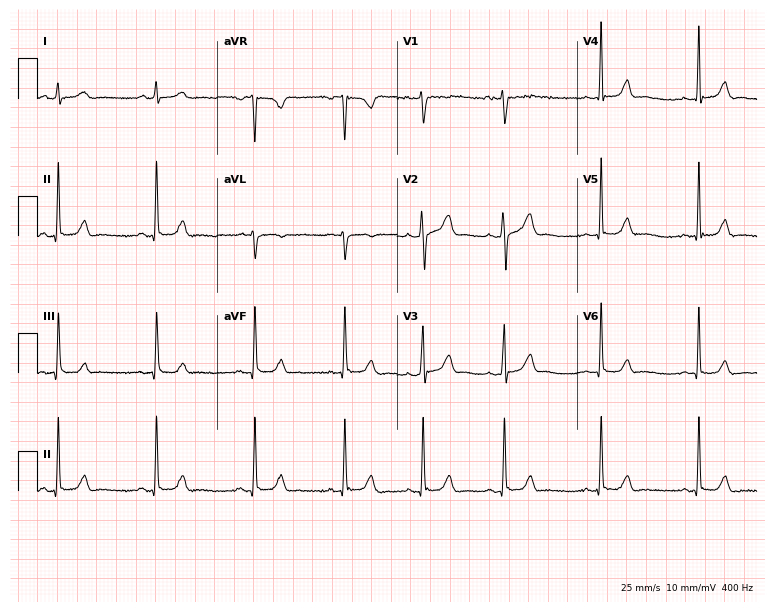
12-lead ECG from a female, 20 years old. Recorded interpretation: within normal limits.